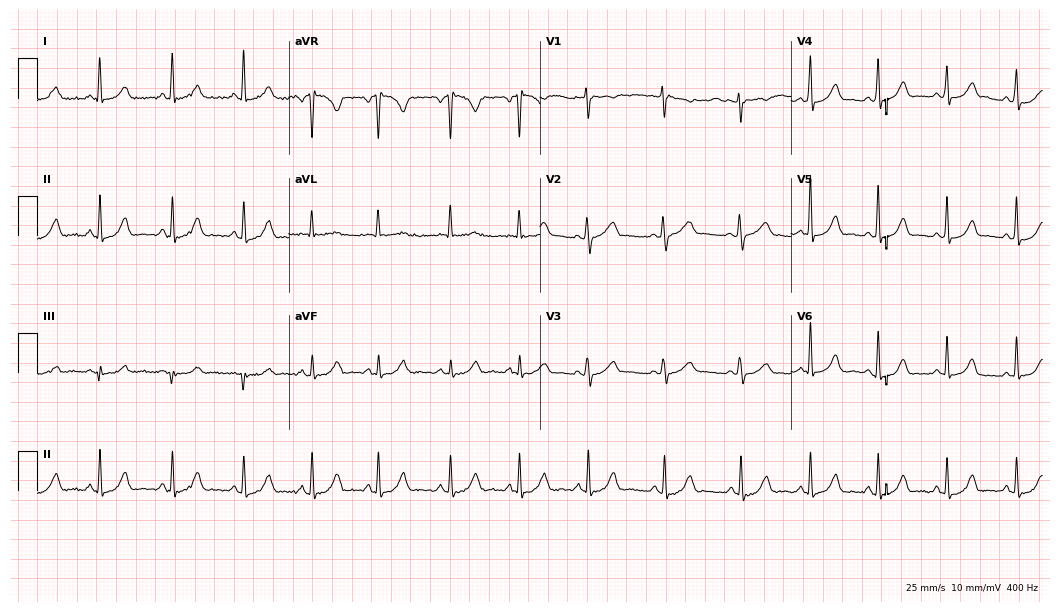
ECG — a female patient, 36 years old. Screened for six findings — first-degree AV block, right bundle branch block, left bundle branch block, sinus bradycardia, atrial fibrillation, sinus tachycardia — none is recorded. Only these six findings were labelled.